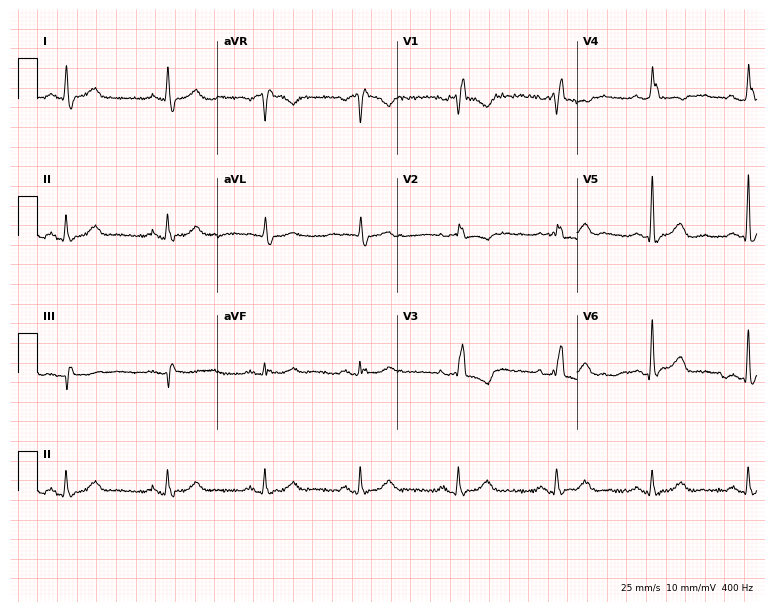
Resting 12-lead electrocardiogram (7.3-second recording at 400 Hz). Patient: a female, 66 years old. The tracing shows right bundle branch block.